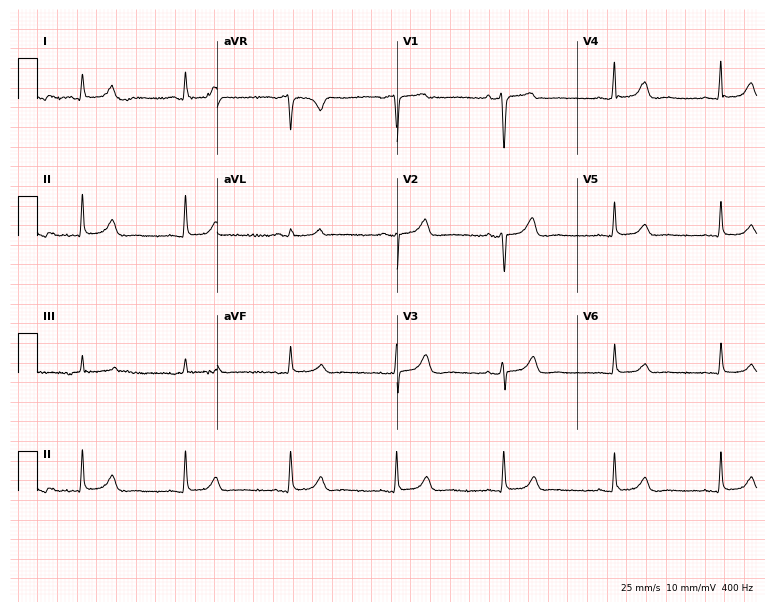
Resting 12-lead electrocardiogram (7.3-second recording at 400 Hz). Patient: a woman, 66 years old. Read as a normal ECG.